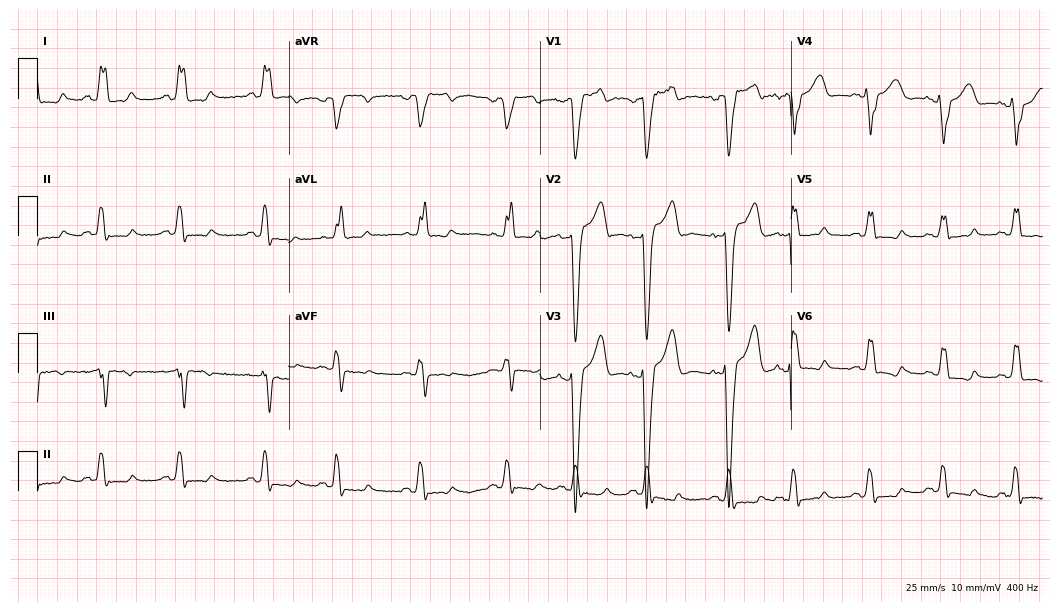
Resting 12-lead electrocardiogram (10.2-second recording at 400 Hz). Patient: a female, 70 years old. The tracing shows left bundle branch block.